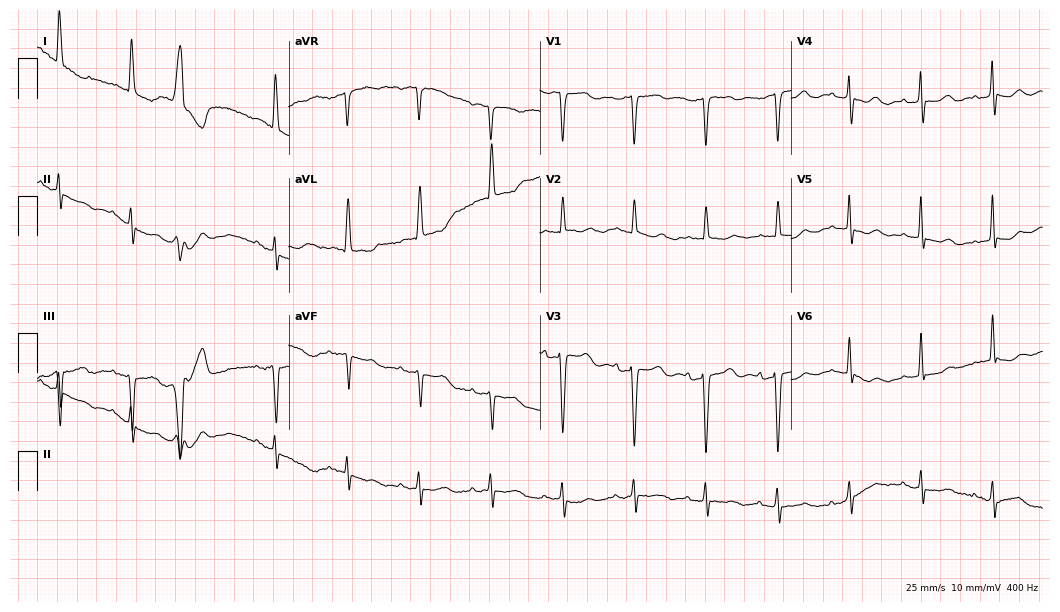
Resting 12-lead electrocardiogram. Patient: a female, 76 years old. None of these six findings is recorded: first-degree AV block, right bundle branch block, left bundle branch block, sinus bradycardia, atrial fibrillation, sinus tachycardia. Other findings, if any, are not listed.